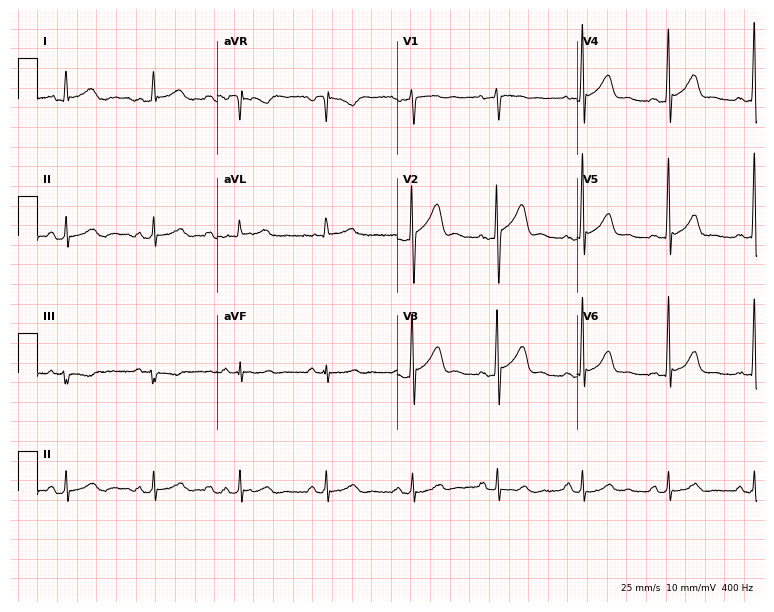
12-lead ECG from a male, 36 years old (7.3-second recording at 400 Hz). Recorded interpretation: within normal limits.